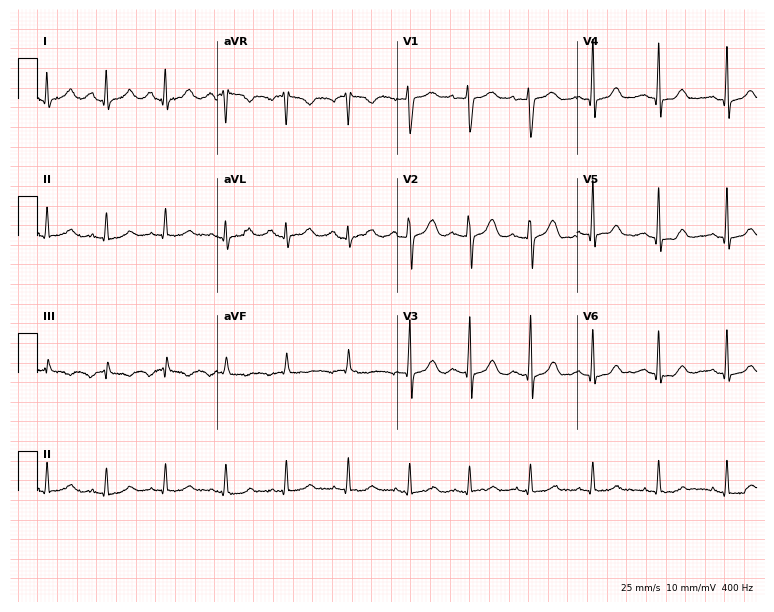
Electrocardiogram (7.3-second recording at 400 Hz), a female patient, 44 years old. Of the six screened findings (first-degree AV block, right bundle branch block, left bundle branch block, sinus bradycardia, atrial fibrillation, sinus tachycardia), none is recorded. Only these six findings were labelled.